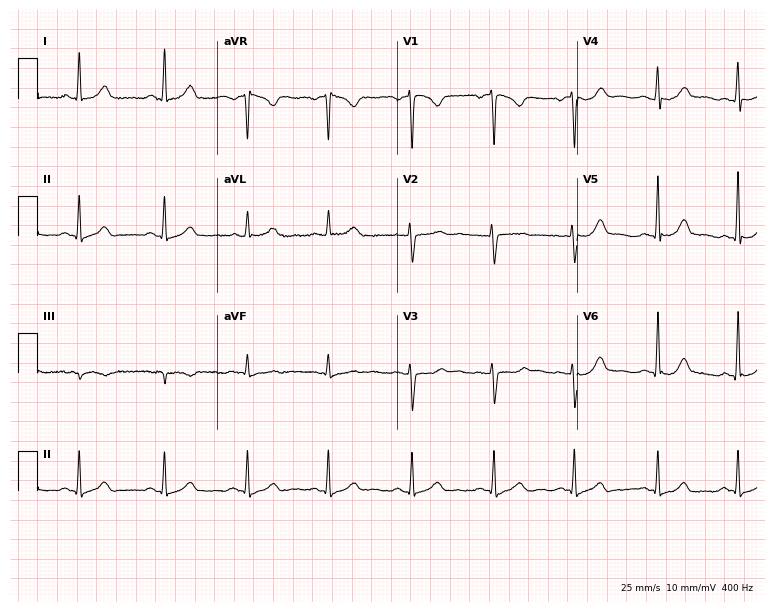
Electrocardiogram, a female, 45 years old. Overall reading on record: normal ECG.